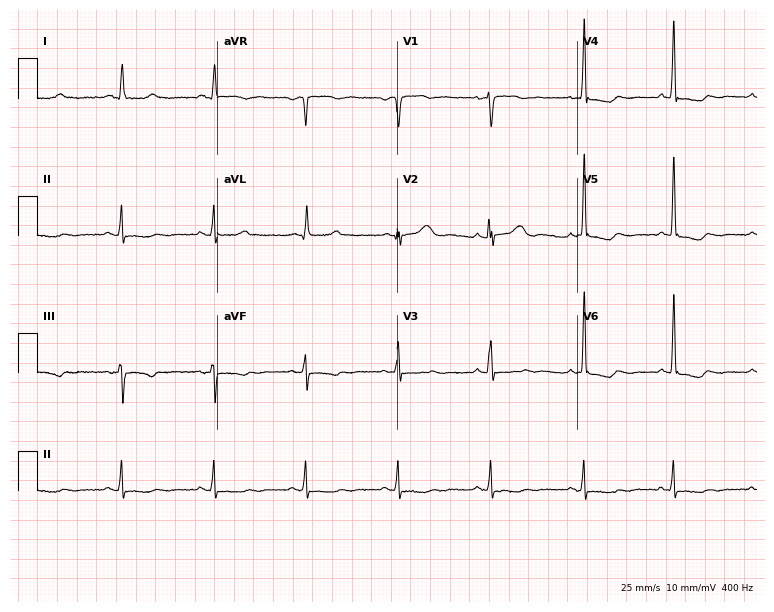
ECG (7.3-second recording at 400 Hz) — a 62-year-old woman. Screened for six findings — first-degree AV block, right bundle branch block, left bundle branch block, sinus bradycardia, atrial fibrillation, sinus tachycardia — none is recorded. Other findings, if any, are not listed.